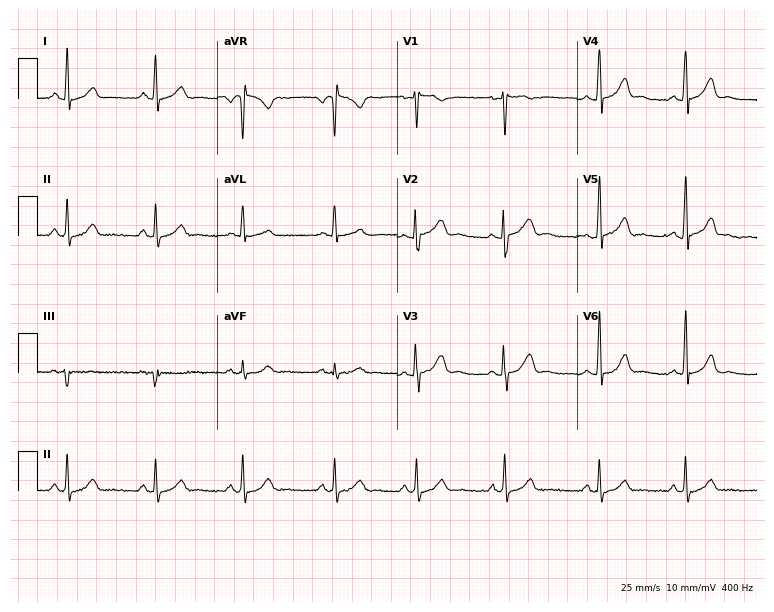
ECG — a 31-year-old female patient. Labelled as a normal ECG.